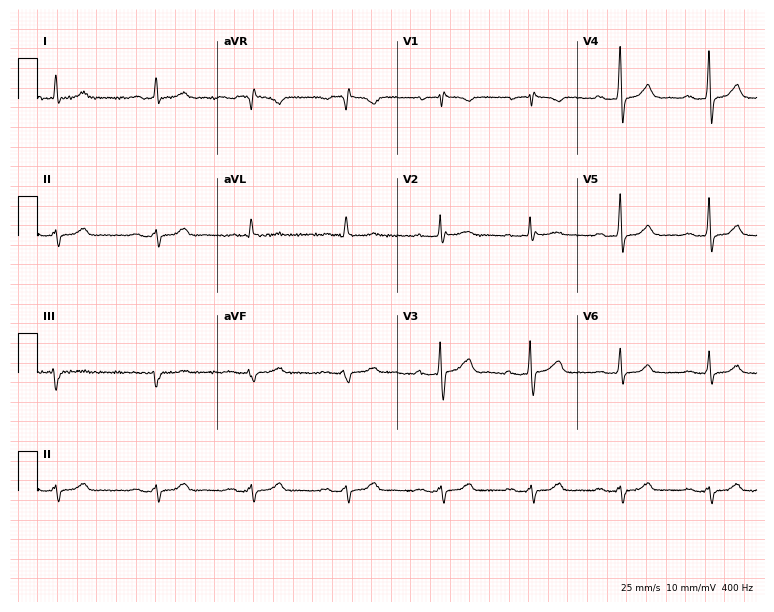
Resting 12-lead electrocardiogram (7.3-second recording at 400 Hz). Patient: a man, 77 years old. None of these six findings is recorded: first-degree AV block, right bundle branch block (RBBB), left bundle branch block (LBBB), sinus bradycardia, atrial fibrillation (AF), sinus tachycardia. Findings outside these six are not listed.